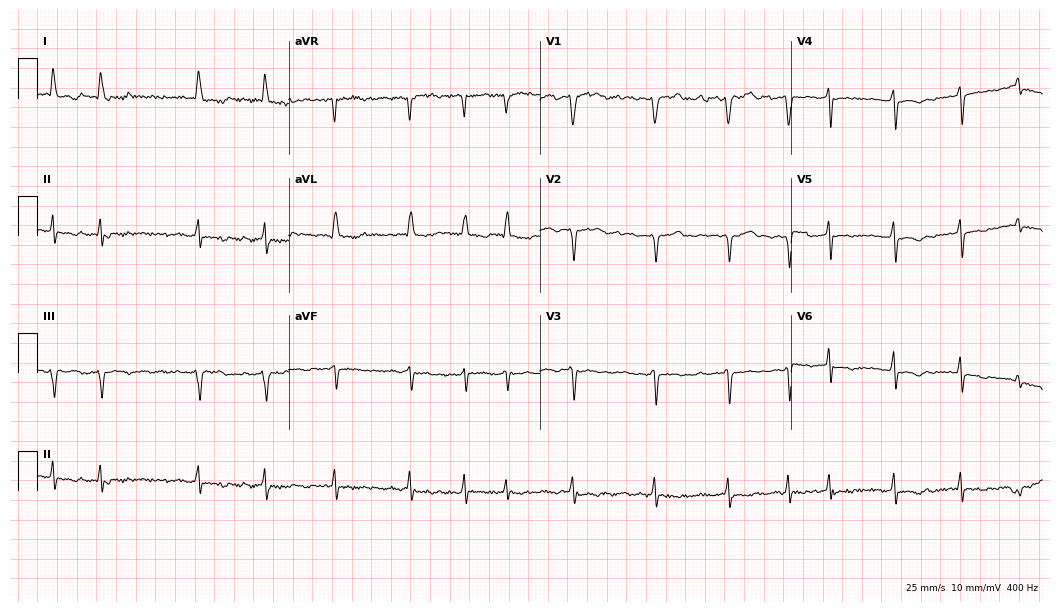
Electrocardiogram (10.2-second recording at 400 Hz), a female patient, 60 years old. Interpretation includes atrial fibrillation.